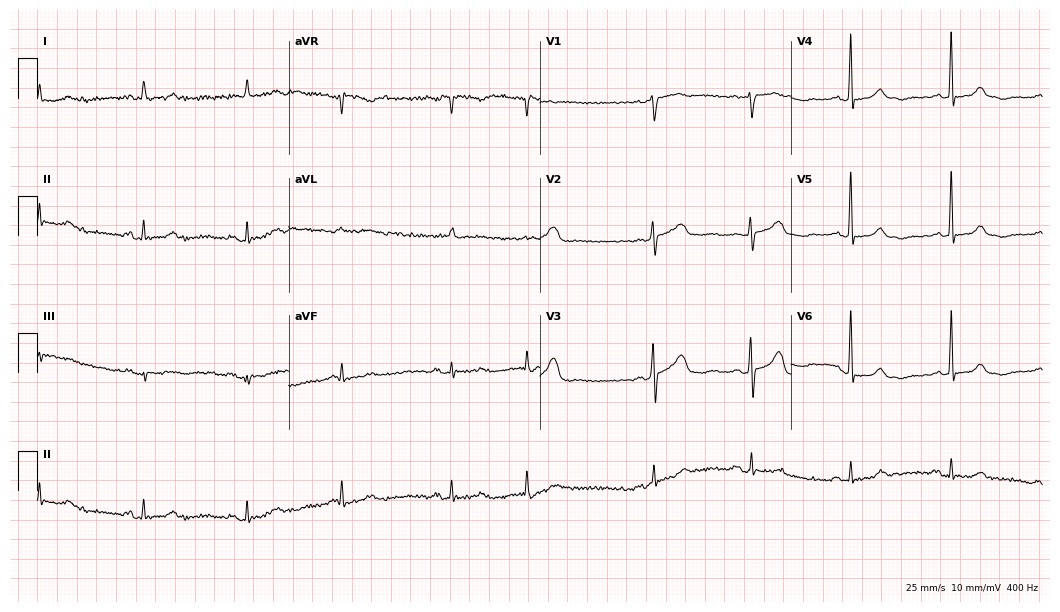
12-lead ECG from an 82-year-old woman. Screened for six findings — first-degree AV block, right bundle branch block, left bundle branch block, sinus bradycardia, atrial fibrillation, sinus tachycardia — none is recorded. Only these six findings were labelled.